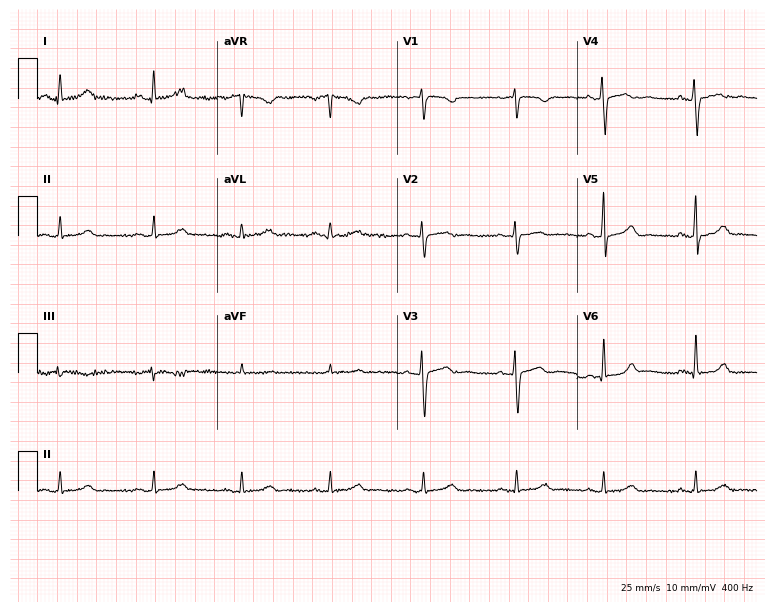
Standard 12-lead ECG recorded from a female, 34 years old. None of these six findings is recorded: first-degree AV block, right bundle branch block (RBBB), left bundle branch block (LBBB), sinus bradycardia, atrial fibrillation (AF), sinus tachycardia.